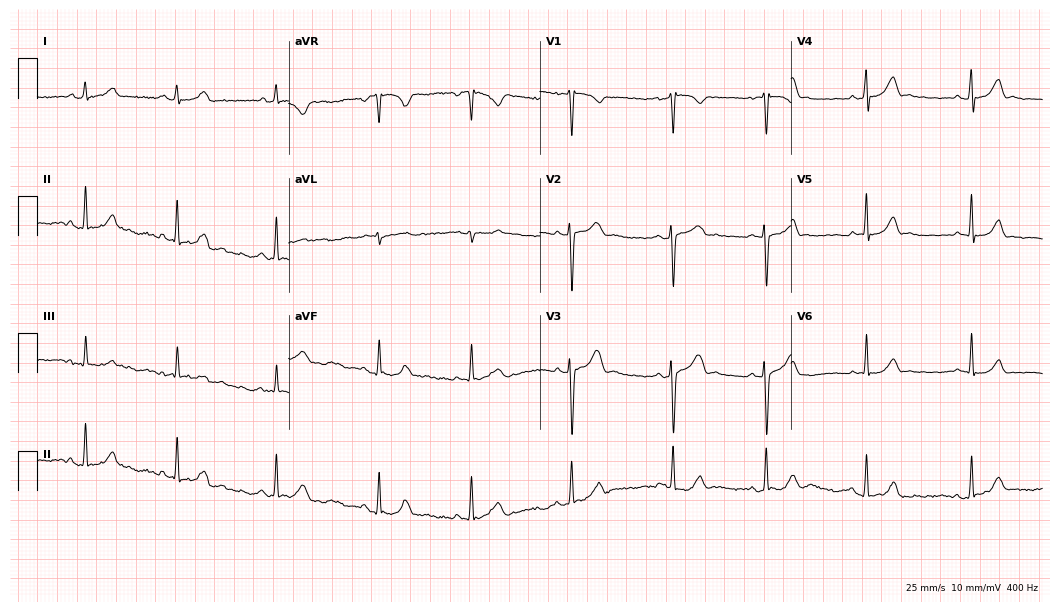
ECG (10.2-second recording at 400 Hz) — a 17-year-old woman. Screened for six findings — first-degree AV block, right bundle branch block, left bundle branch block, sinus bradycardia, atrial fibrillation, sinus tachycardia — none is recorded. Findings outside these six are not listed.